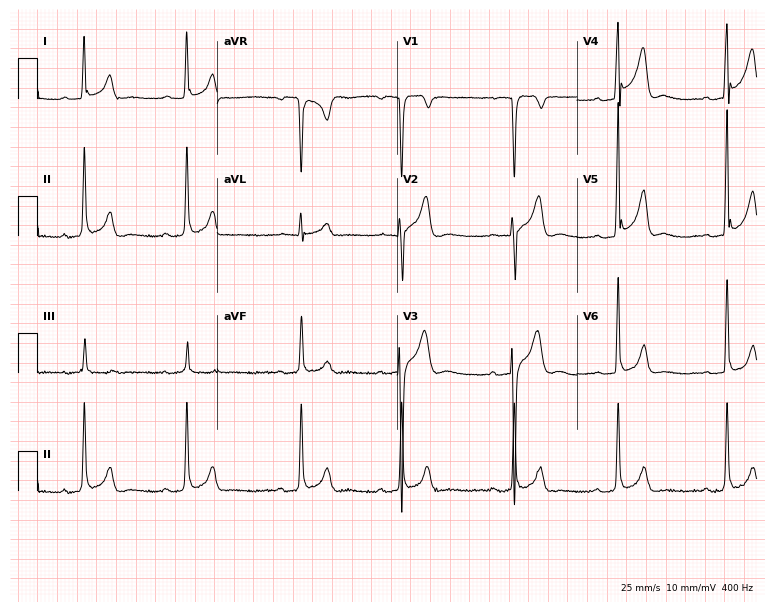
12-lead ECG from a 26-year-old man (7.3-second recording at 400 Hz). No first-degree AV block, right bundle branch block, left bundle branch block, sinus bradycardia, atrial fibrillation or sinus tachycardia recorded for this tracing.